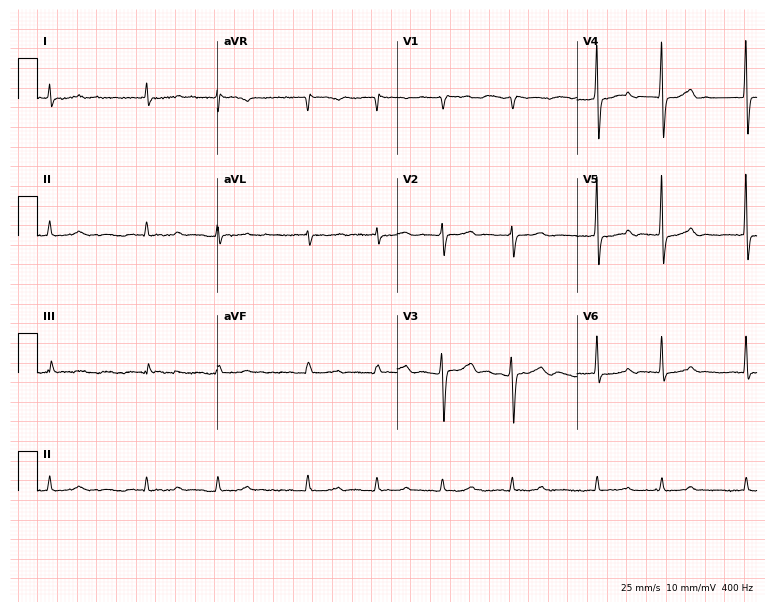
Electrocardiogram (7.3-second recording at 400 Hz), a woman, 82 years old. Interpretation includes atrial fibrillation.